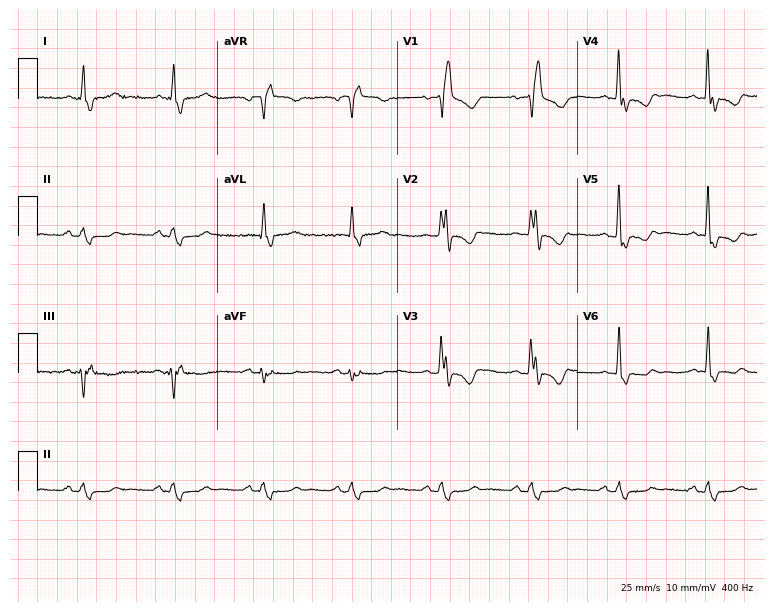
ECG (7.3-second recording at 400 Hz) — a 51-year-old man. Findings include right bundle branch block (RBBB).